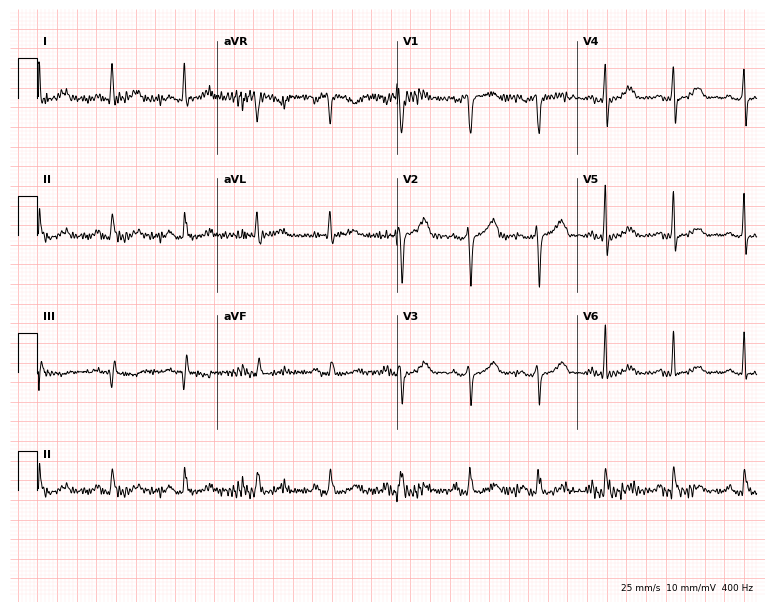
Standard 12-lead ECG recorded from a woman, 48 years old. Read as a normal ECG.